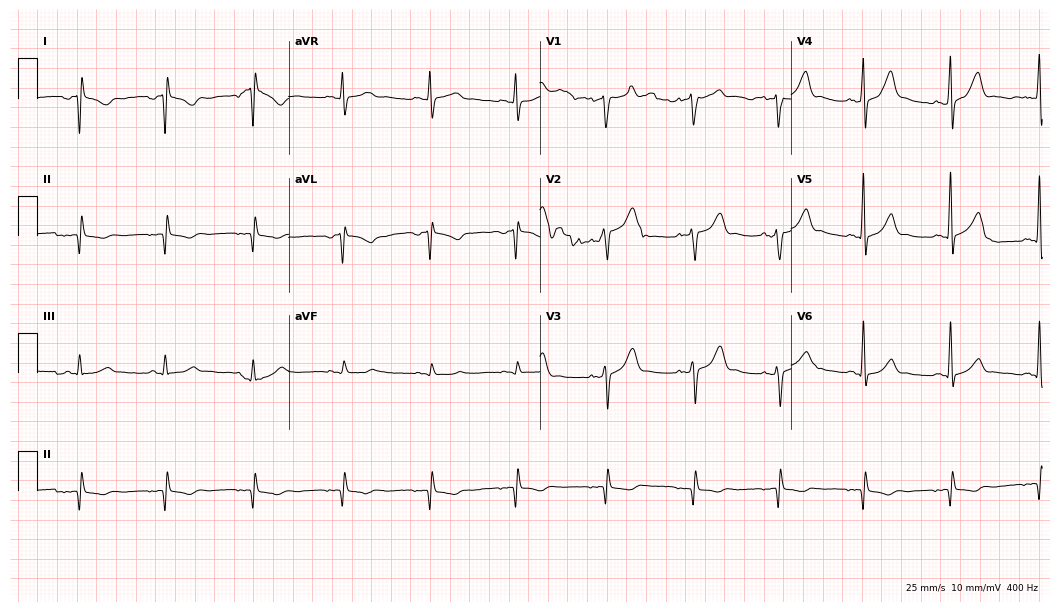
ECG (10.2-second recording at 400 Hz) — a male, 58 years old. Screened for six findings — first-degree AV block, right bundle branch block, left bundle branch block, sinus bradycardia, atrial fibrillation, sinus tachycardia — none is recorded. Other findings, if any, are not listed.